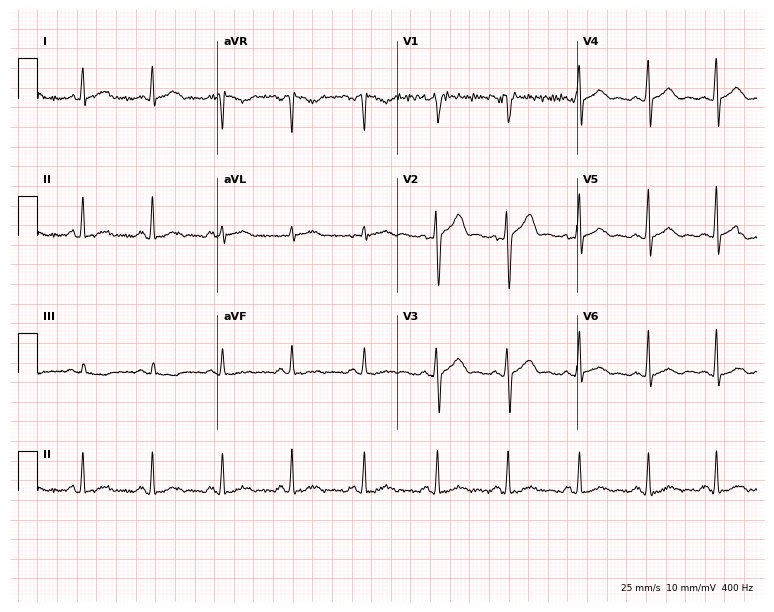
ECG (7.3-second recording at 400 Hz) — a 43-year-old man. Labelled as a normal ECG.